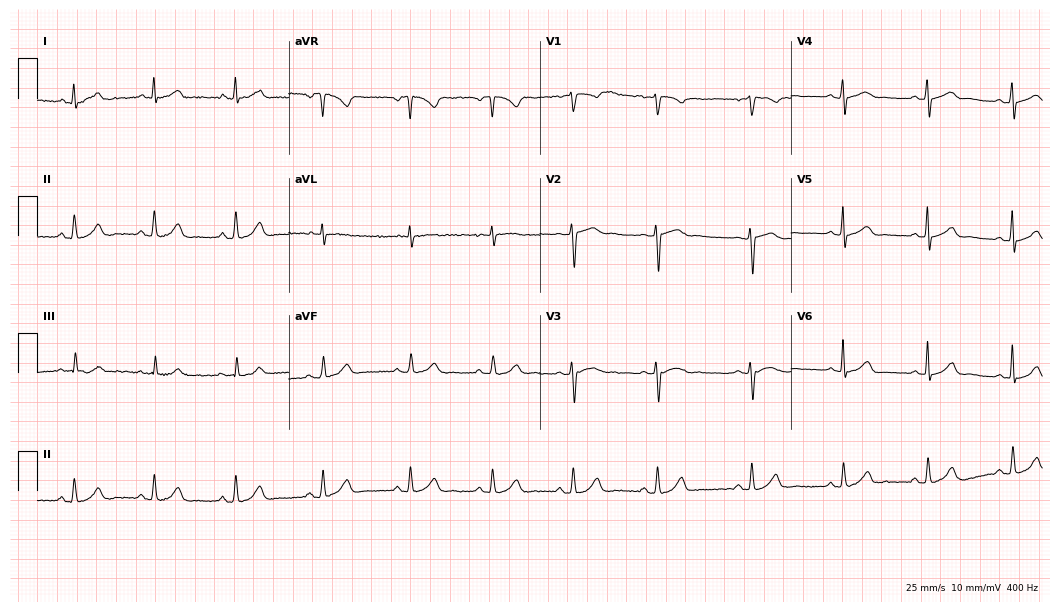
12-lead ECG from a woman, 43 years old (10.2-second recording at 400 Hz). Recorded interpretation: within normal limits.